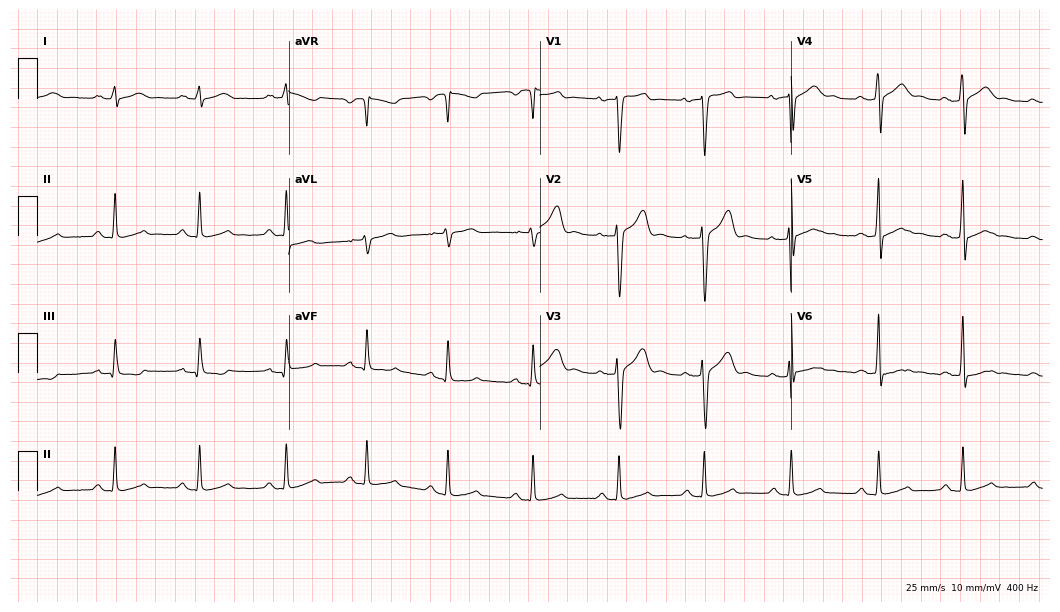
Electrocardiogram (10.2-second recording at 400 Hz), a 35-year-old man. Overall reading on record: normal ECG.